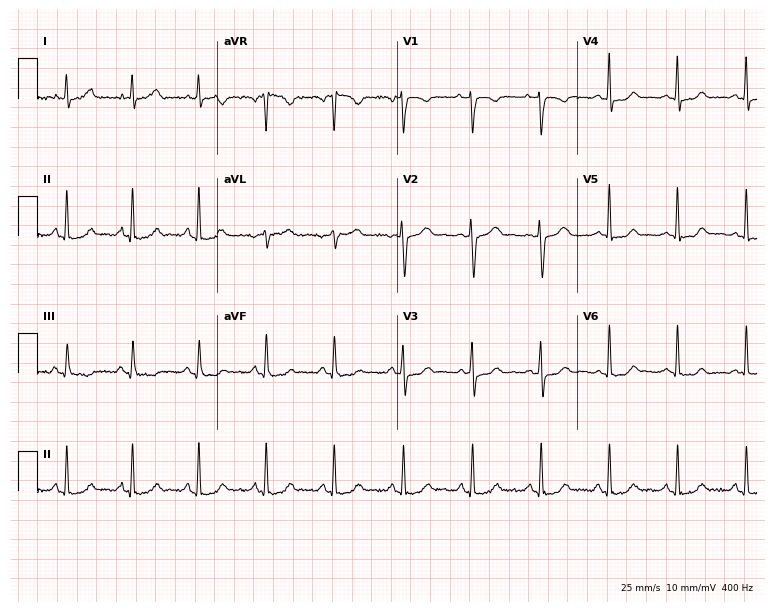
Resting 12-lead electrocardiogram (7.3-second recording at 400 Hz). Patient: a woman, 36 years old. Read as a normal ECG.